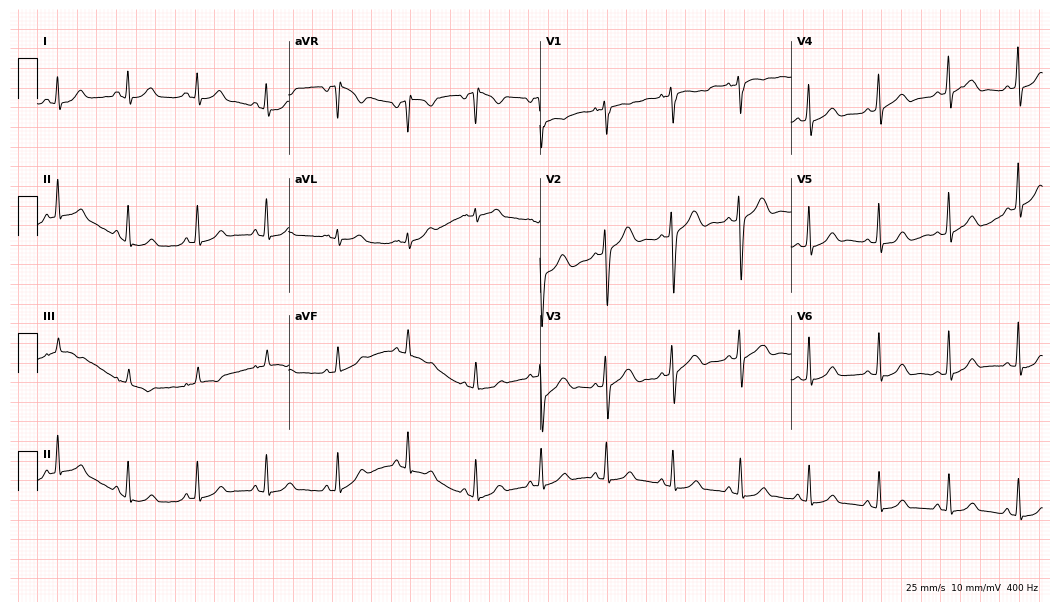
ECG (10.2-second recording at 400 Hz) — a 28-year-old female patient. Labelled as a normal ECG.